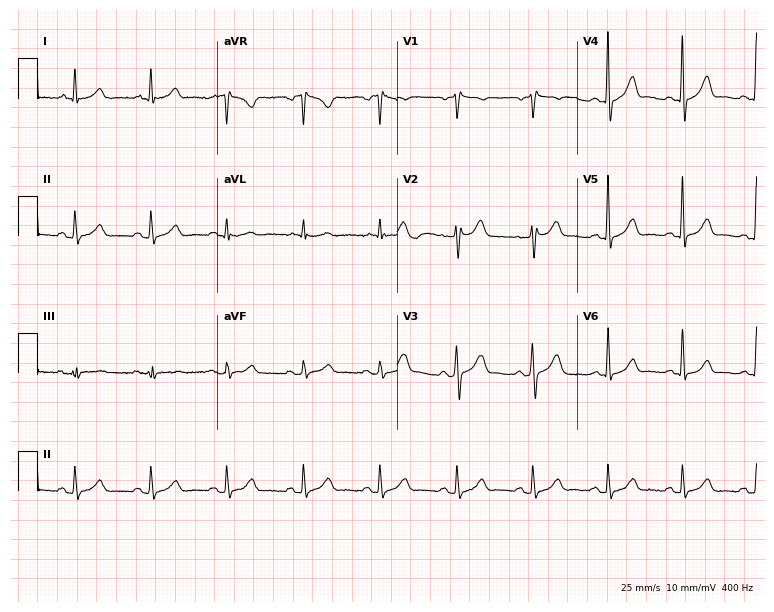
Electrocardiogram (7.3-second recording at 400 Hz), a male patient, 69 years old. Of the six screened findings (first-degree AV block, right bundle branch block (RBBB), left bundle branch block (LBBB), sinus bradycardia, atrial fibrillation (AF), sinus tachycardia), none is recorded. Other findings, if any, are not listed.